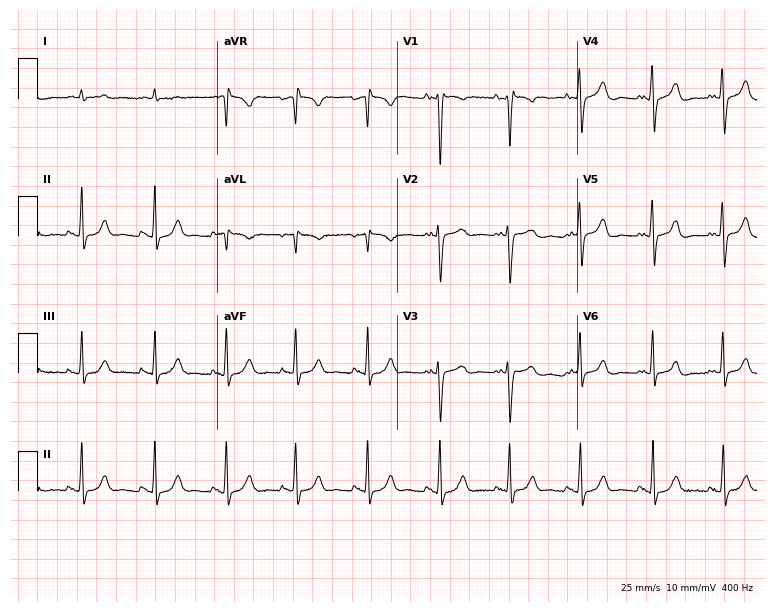
12-lead ECG (7.3-second recording at 400 Hz) from a 62-year-old man. Screened for six findings — first-degree AV block, right bundle branch block (RBBB), left bundle branch block (LBBB), sinus bradycardia, atrial fibrillation (AF), sinus tachycardia — none is recorded.